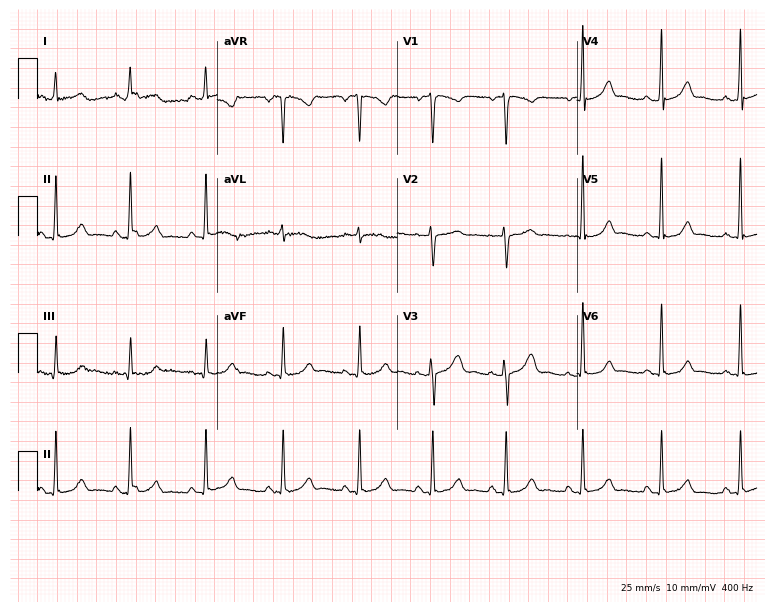
12-lead ECG from a 25-year-old female. Recorded interpretation: within normal limits.